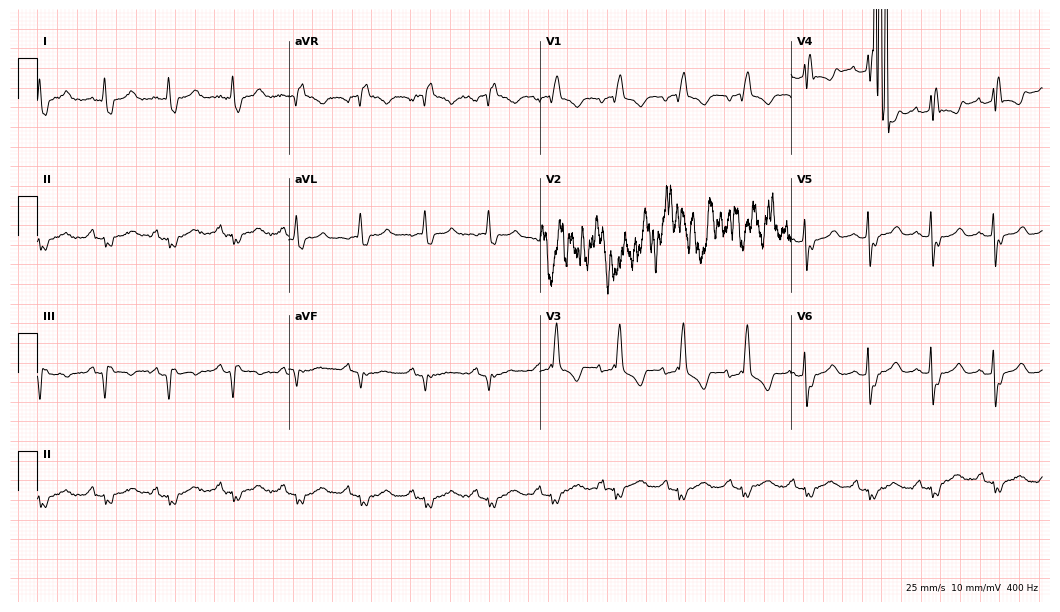
12-lead ECG from a 76-year-old female patient. Findings include right bundle branch block.